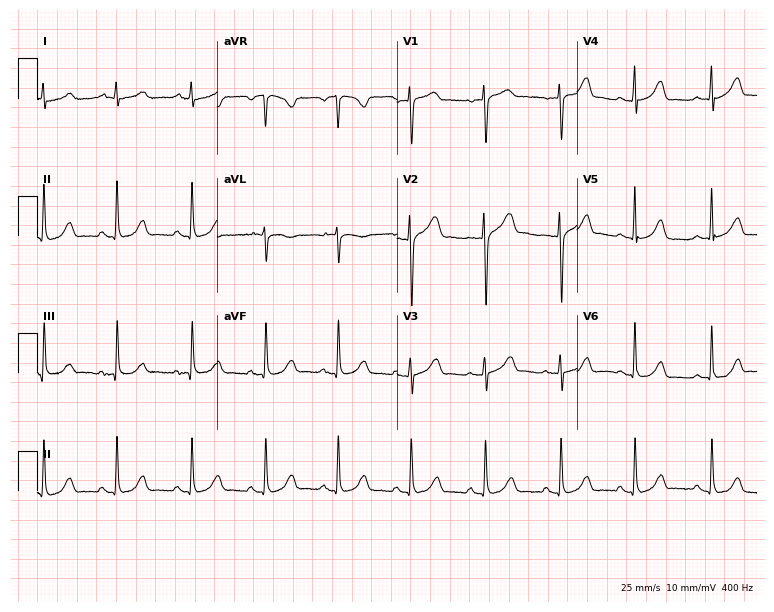
12-lead ECG from a 46-year-old woman. Recorded interpretation: within normal limits.